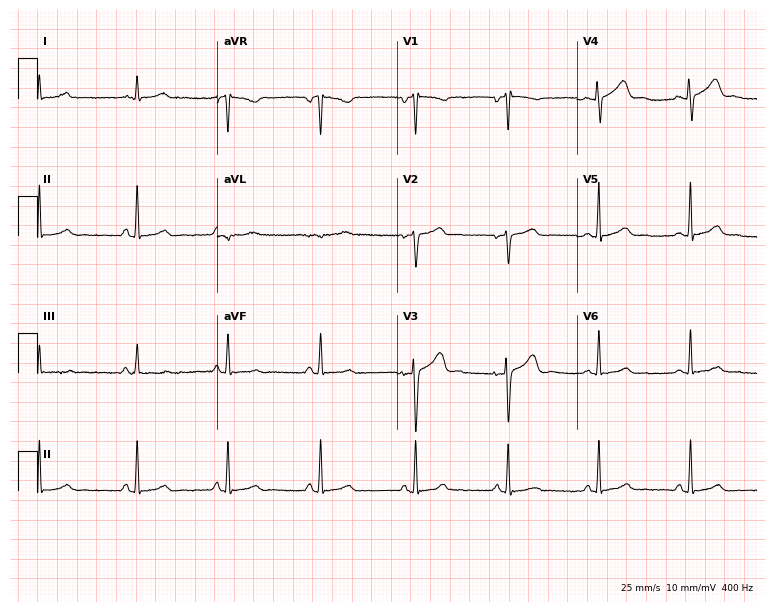
ECG — a 34-year-old woman. Labelled as a normal ECG.